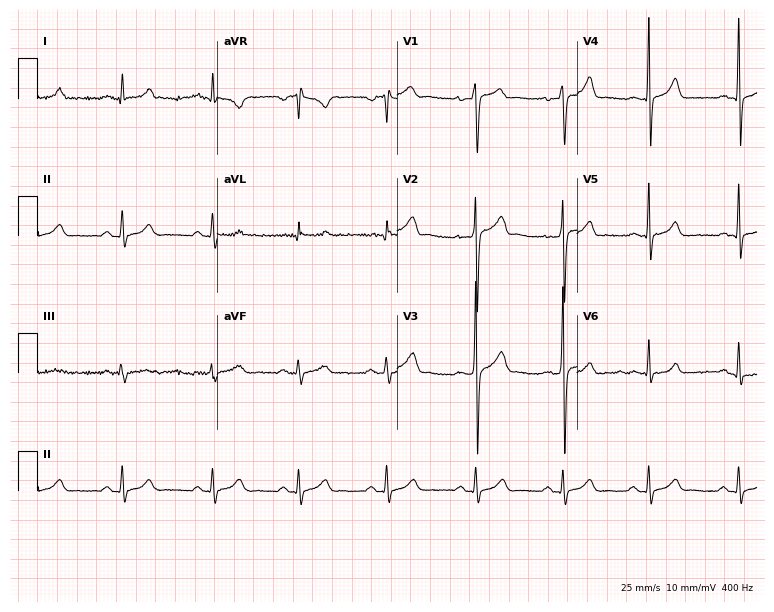
Resting 12-lead electrocardiogram (7.3-second recording at 400 Hz). Patient: a 21-year-old male. Read as a normal ECG.